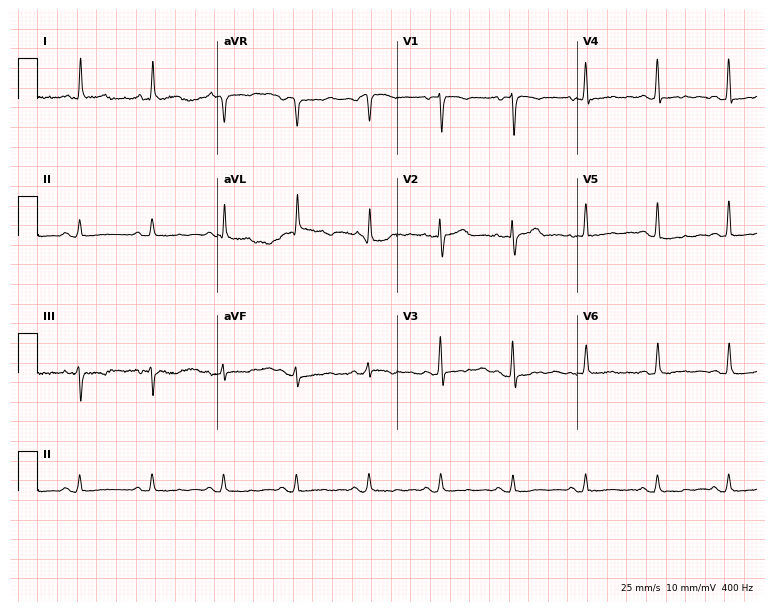
Resting 12-lead electrocardiogram (7.3-second recording at 400 Hz). Patient: a female, 77 years old. None of these six findings is recorded: first-degree AV block, right bundle branch block (RBBB), left bundle branch block (LBBB), sinus bradycardia, atrial fibrillation (AF), sinus tachycardia. Other findings, if any, are not listed.